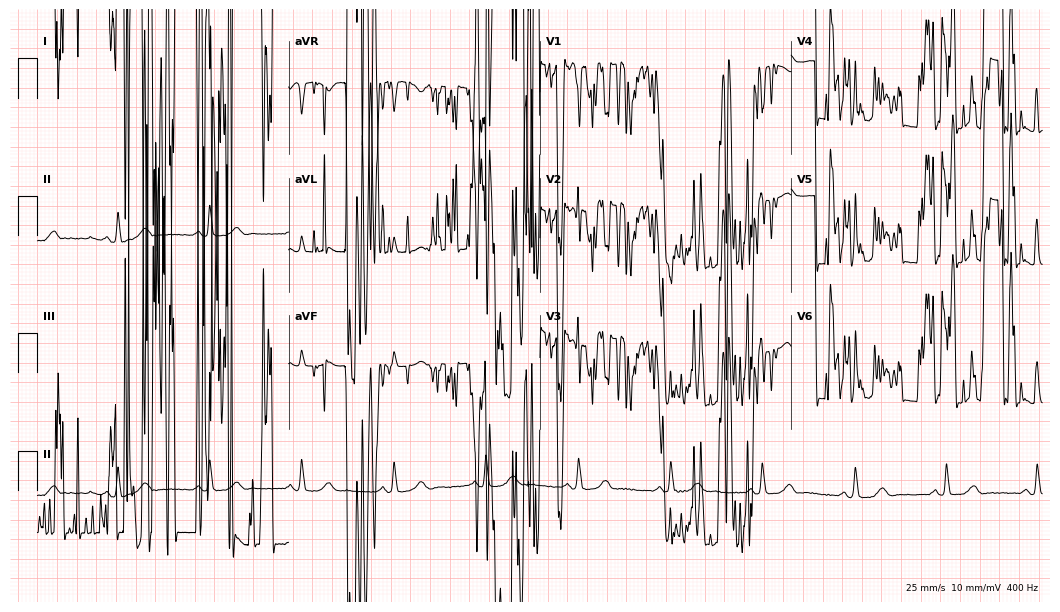
Standard 12-lead ECG recorded from a 74-year-old female patient. None of these six findings is recorded: first-degree AV block, right bundle branch block, left bundle branch block, sinus bradycardia, atrial fibrillation, sinus tachycardia. Only these six findings were labelled.